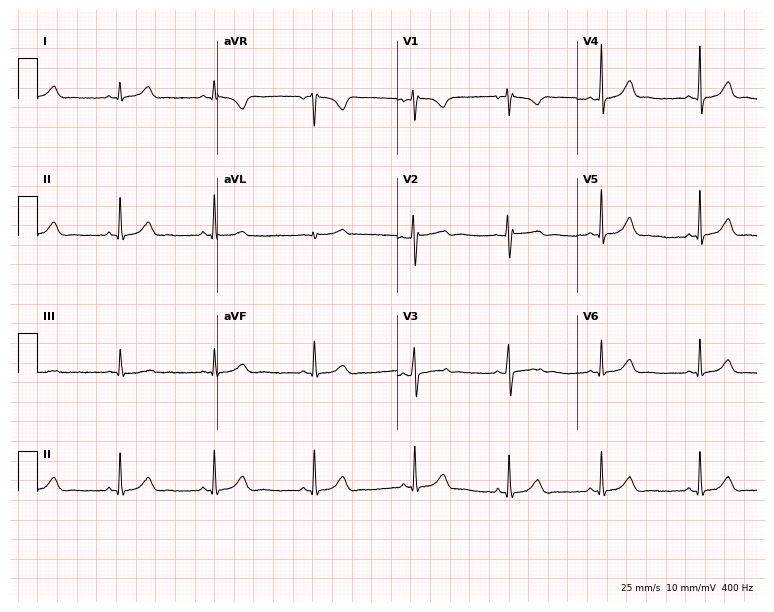
Resting 12-lead electrocardiogram (7.3-second recording at 400 Hz). Patient: a 28-year-old female. None of these six findings is recorded: first-degree AV block, right bundle branch block, left bundle branch block, sinus bradycardia, atrial fibrillation, sinus tachycardia.